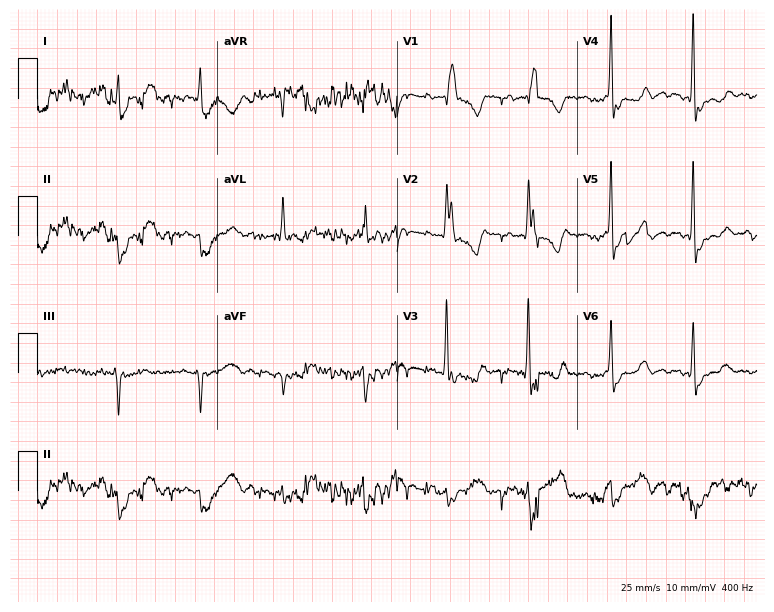
Standard 12-lead ECG recorded from a female, 83 years old (7.3-second recording at 400 Hz). None of these six findings is recorded: first-degree AV block, right bundle branch block, left bundle branch block, sinus bradycardia, atrial fibrillation, sinus tachycardia.